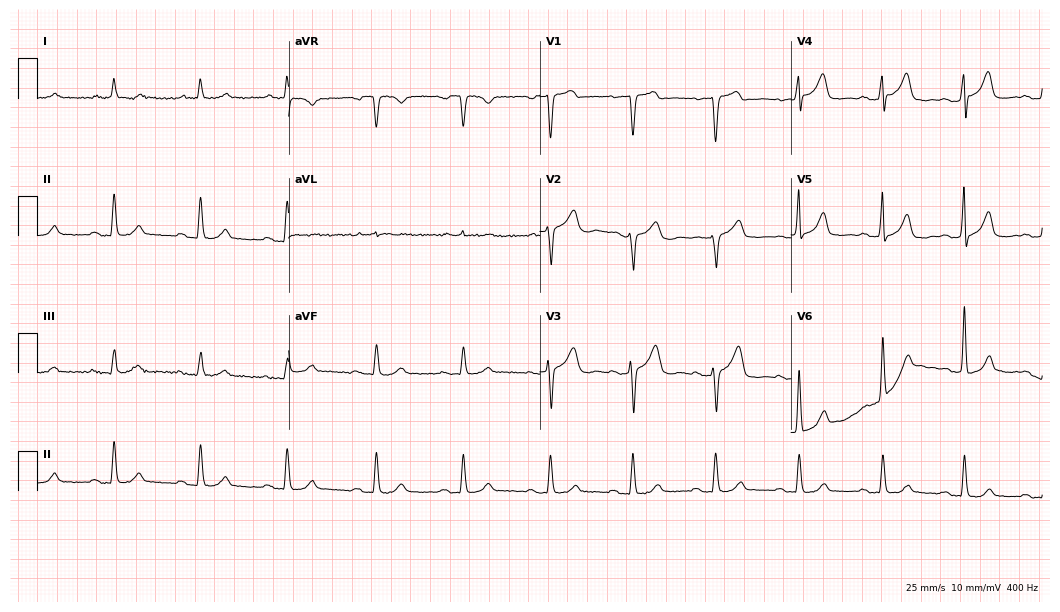
ECG (10.2-second recording at 400 Hz) — a male, 73 years old. Findings include first-degree AV block.